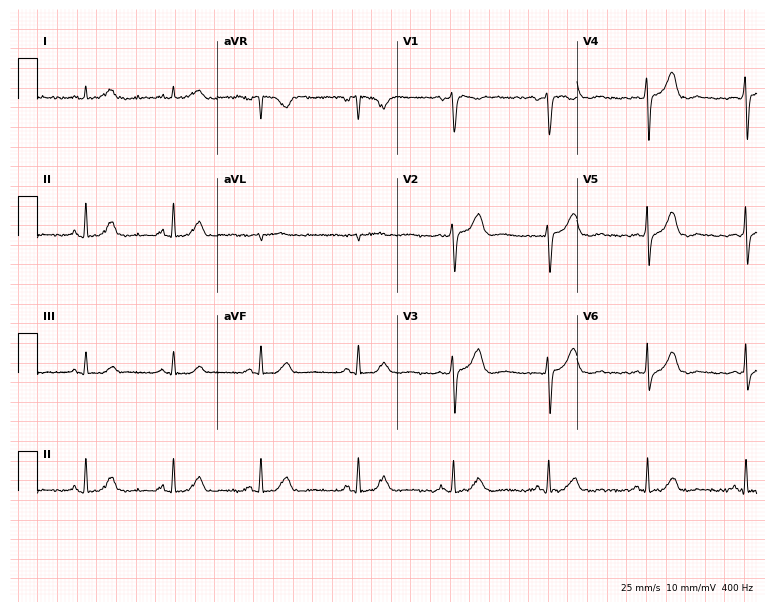
ECG (7.3-second recording at 400 Hz) — a male patient, 60 years old. Screened for six findings — first-degree AV block, right bundle branch block, left bundle branch block, sinus bradycardia, atrial fibrillation, sinus tachycardia — none is recorded.